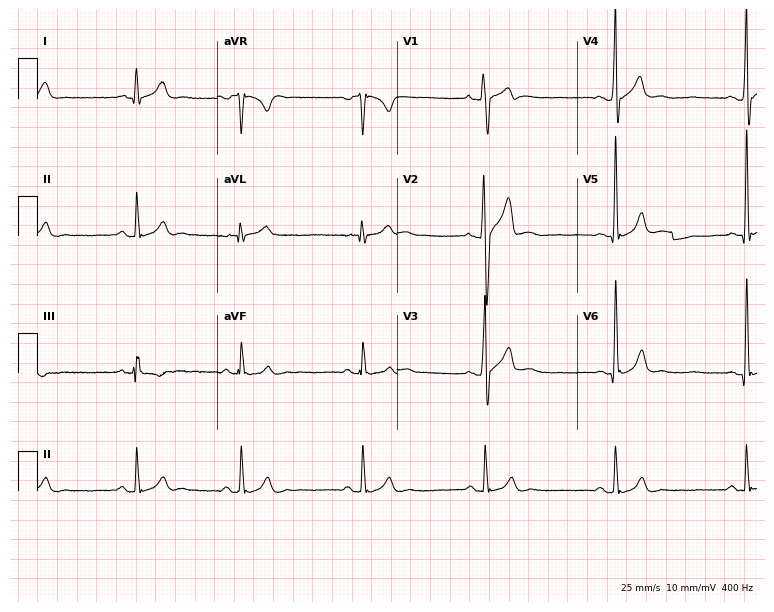
12-lead ECG from a male, 28 years old. Findings include sinus bradycardia (a sinus rate of 50 beats per minute or less).